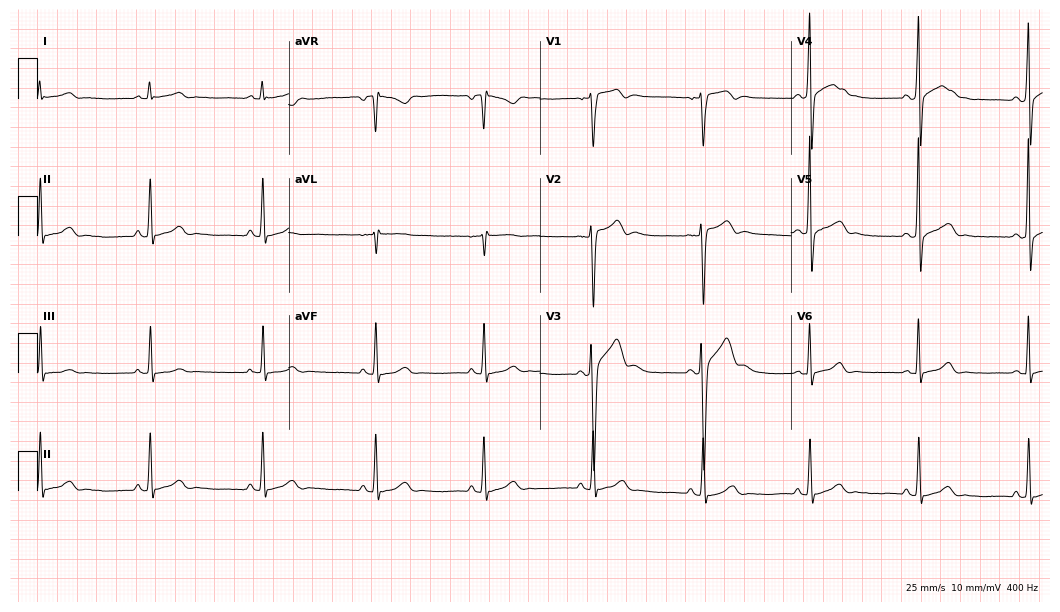
Resting 12-lead electrocardiogram (10.2-second recording at 400 Hz). Patient: a male, 20 years old. None of these six findings is recorded: first-degree AV block, right bundle branch block, left bundle branch block, sinus bradycardia, atrial fibrillation, sinus tachycardia. Only these six findings were labelled.